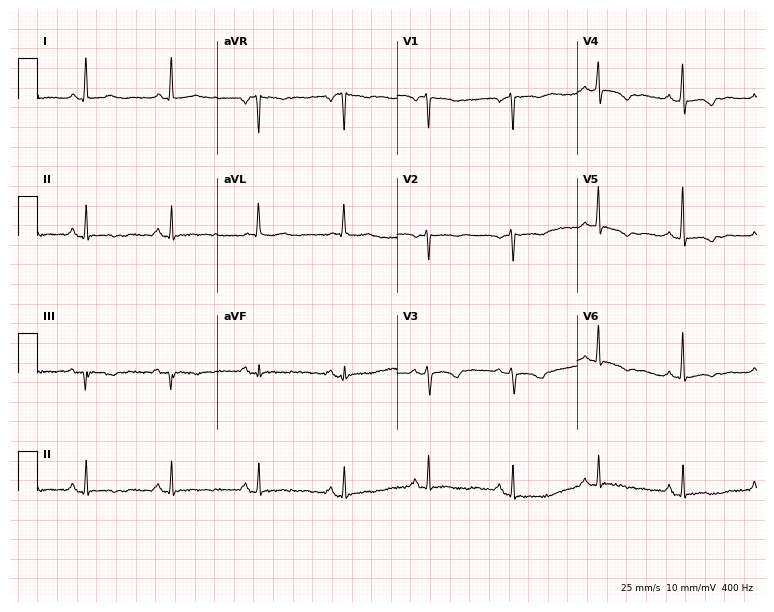
Resting 12-lead electrocardiogram. Patient: a 59-year-old woman. None of these six findings is recorded: first-degree AV block, right bundle branch block, left bundle branch block, sinus bradycardia, atrial fibrillation, sinus tachycardia. Other findings, if any, are not listed.